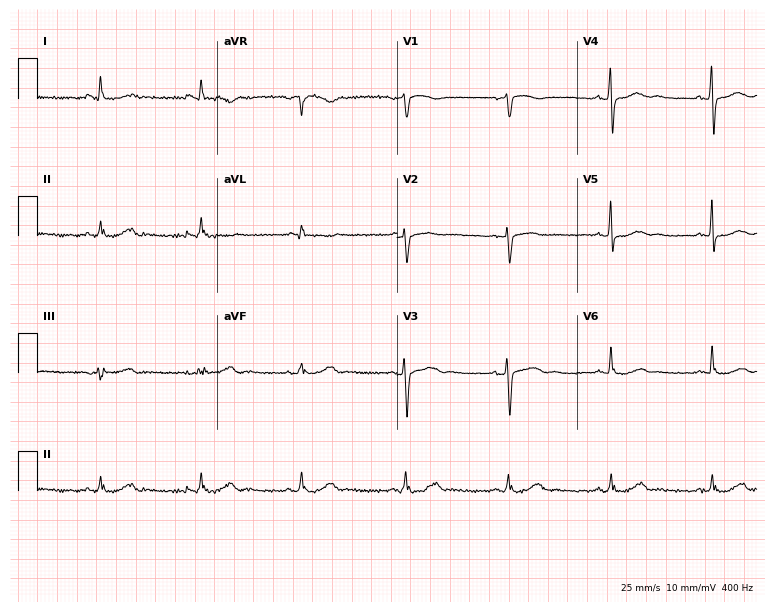
Standard 12-lead ECG recorded from a 60-year-old female. Read as a normal ECG.